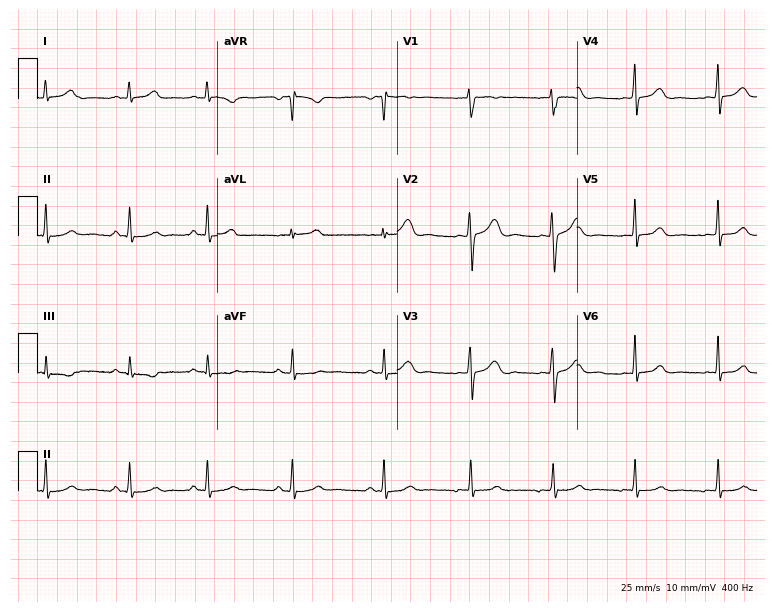
ECG (7.3-second recording at 400 Hz) — a 21-year-old female. Screened for six findings — first-degree AV block, right bundle branch block (RBBB), left bundle branch block (LBBB), sinus bradycardia, atrial fibrillation (AF), sinus tachycardia — none is recorded. Only these six findings were labelled.